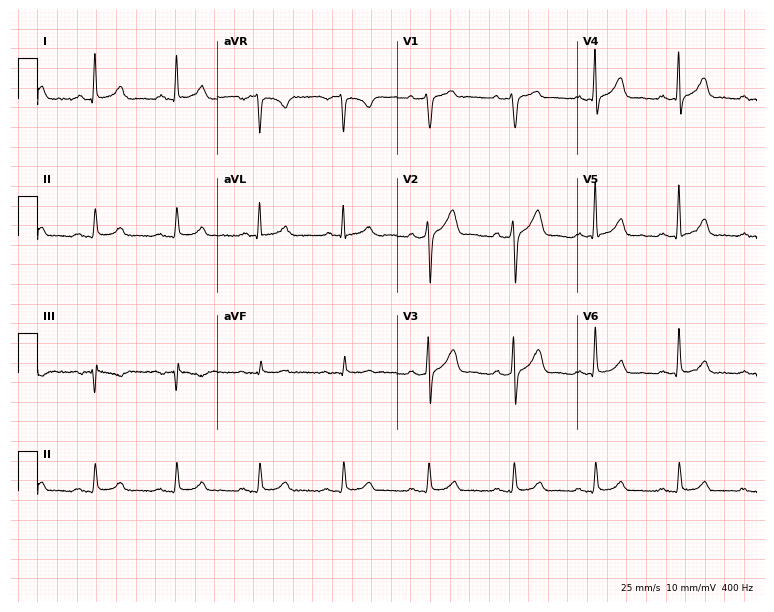
ECG — a male patient, 48 years old. Labelled as a normal ECG.